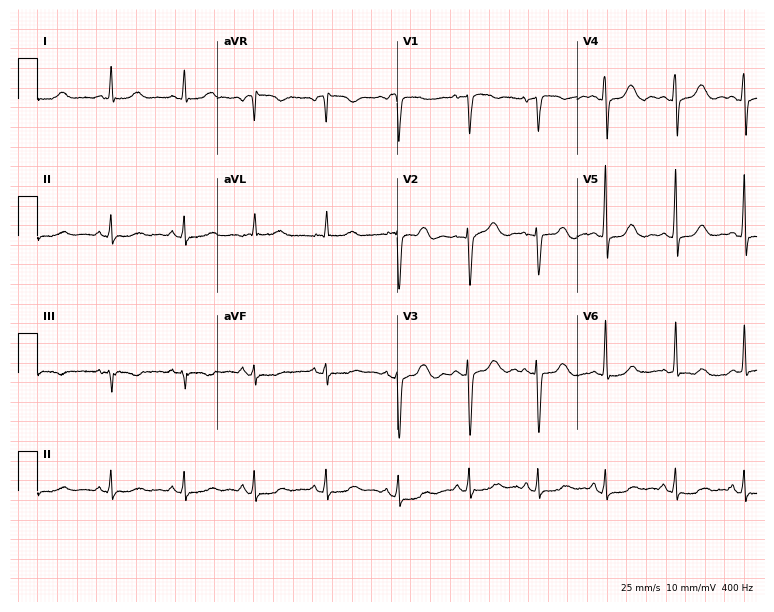
12-lead ECG from a 51-year-old woman (7.3-second recording at 400 Hz). No first-degree AV block, right bundle branch block, left bundle branch block, sinus bradycardia, atrial fibrillation or sinus tachycardia recorded for this tracing. Only these six findings were labelled.